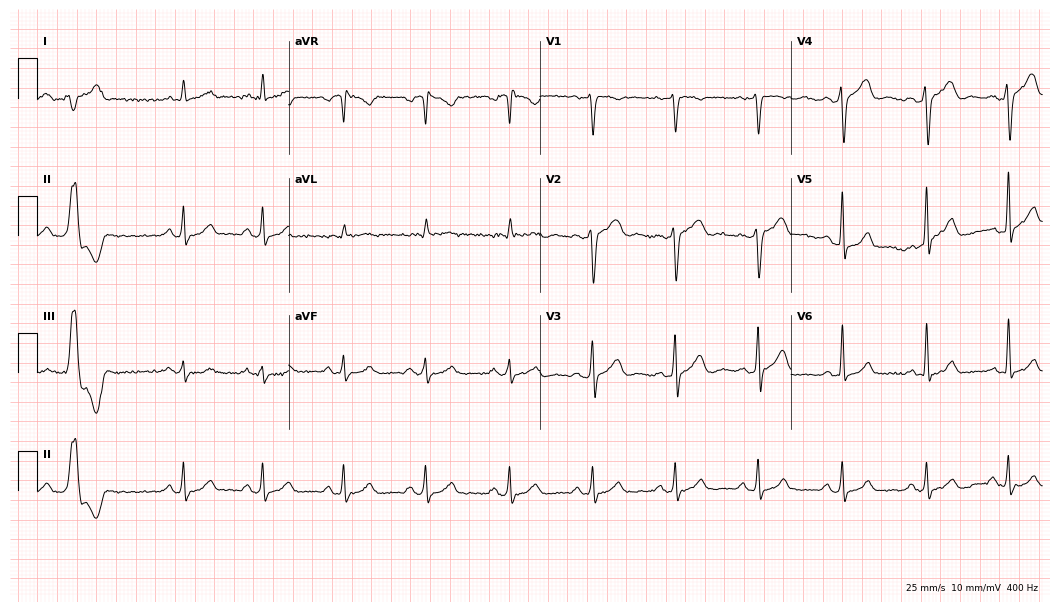
12-lead ECG from a 51-year-old man. No first-degree AV block, right bundle branch block, left bundle branch block, sinus bradycardia, atrial fibrillation or sinus tachycardia recorded for this tracing.